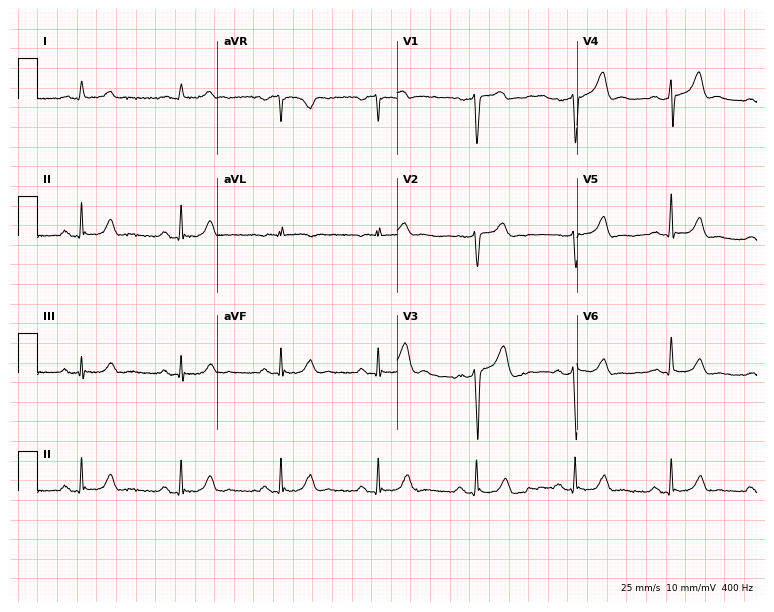
12-lead ECG from a 76-year-old male patient. No first-degree AV block, right bundle branch block (RBBB), left bundle branch block (LBBB), sinus bradycardia, atrial fibrillation (AF) or sinus tachycardia recorded for this tracing. Findings outside these six are not listed.